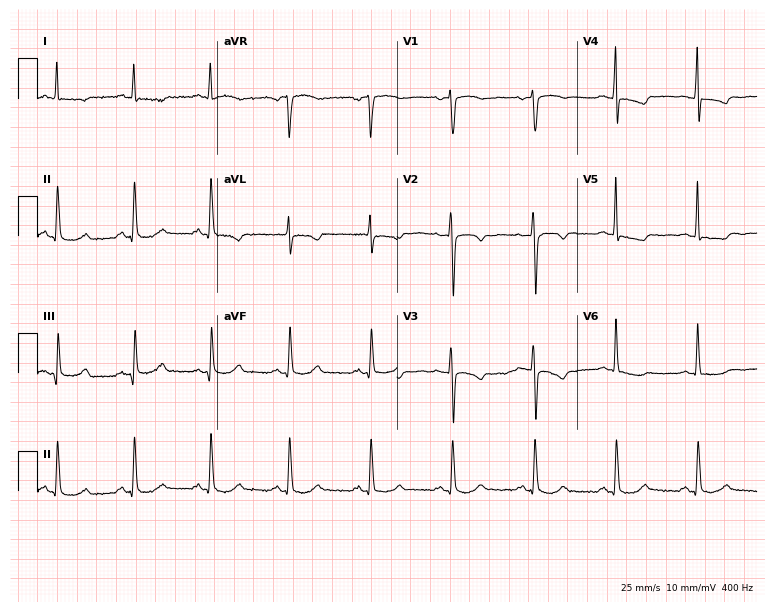
ECG (7.3-second recording at 400 Hz) — a 51-year-old female patient. Screened for six findings — first-degree AV block, right bundle branch block, left bundle branch block, sinus bradycardia, atrial fibrillation, sinus tachycardia — none is recorded.